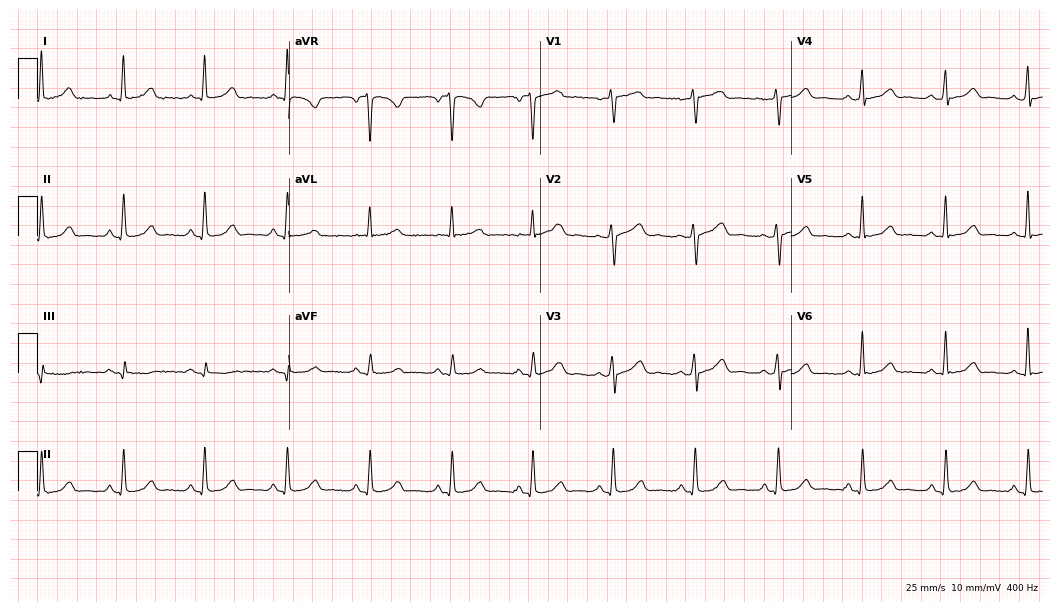
Electrocardiogram (10.2-second recording at 400 Hz), a 59-year-old female. Of the six screened findings (first-degree AV block, right bundle branch block, left bundle branch block, sinus bradycardia, atrial fibrillation, sinus tachycardia), none is recorded.